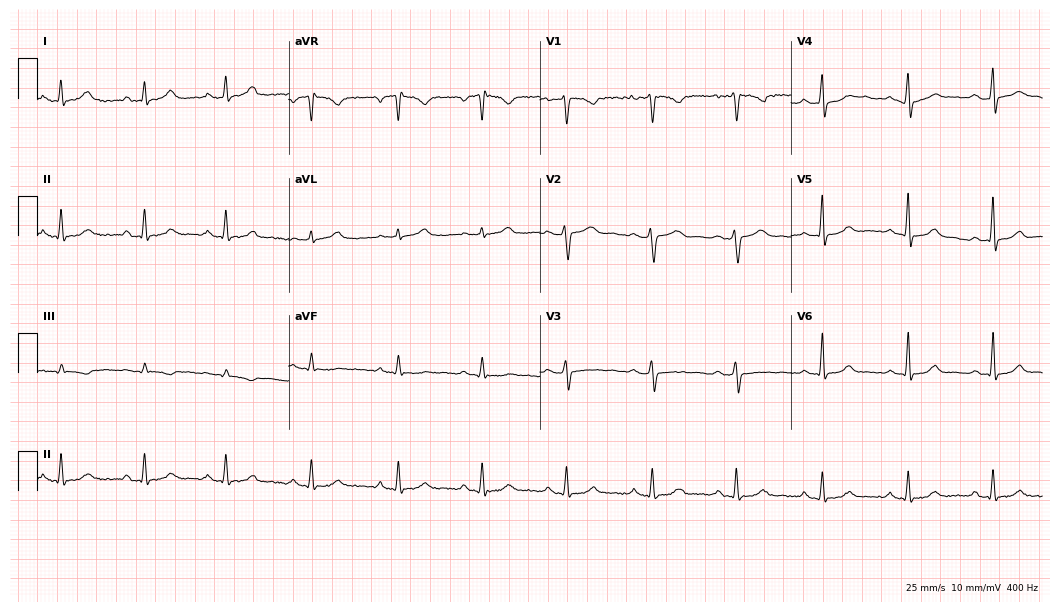
ECG — a 29-year-old female patient. Labelled as a normal ECG.